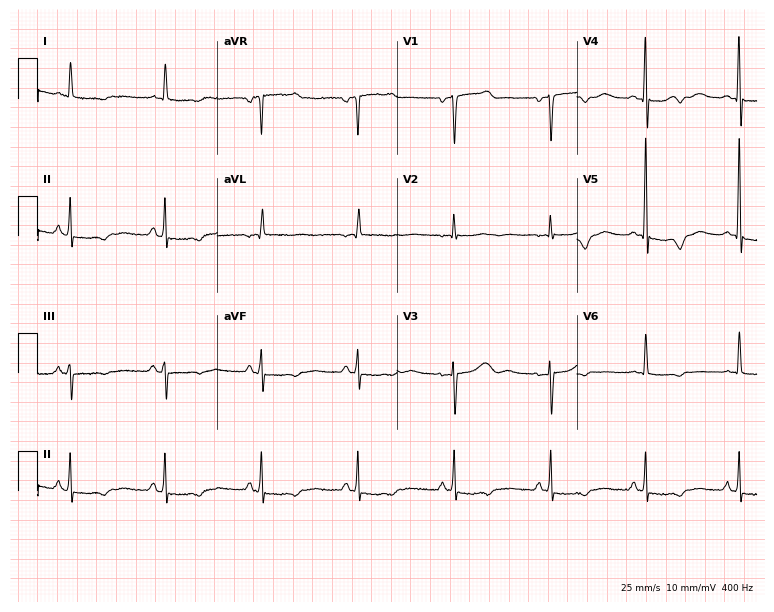
12-lead ECG (7.3-second recording at 400 Hz) from a female patient, 66 years old. Screened for six findings — first-degree AV block, right bundle branch block, left bundle branch block, sinus bradycardia, atrial fibrillation, sinus tachycardia — none is recorded.